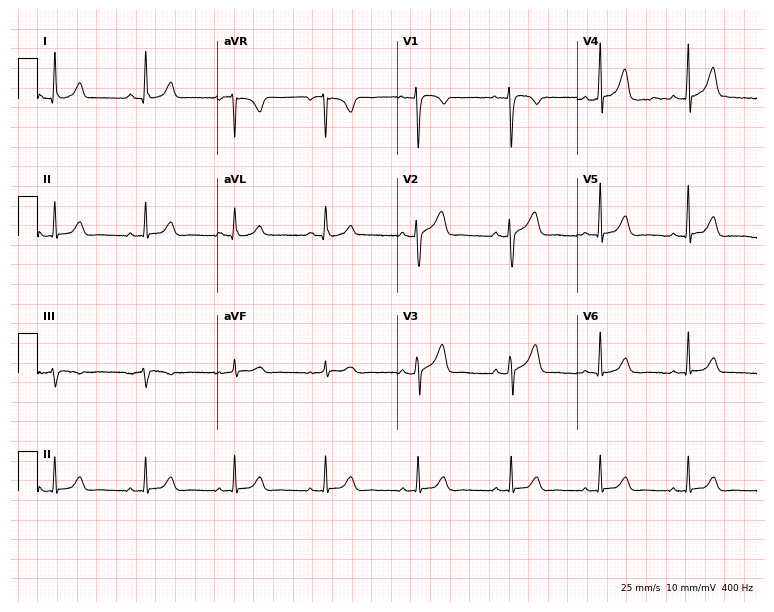
ECG — a 34-year-old female patient. Labelled as a normal ECG.